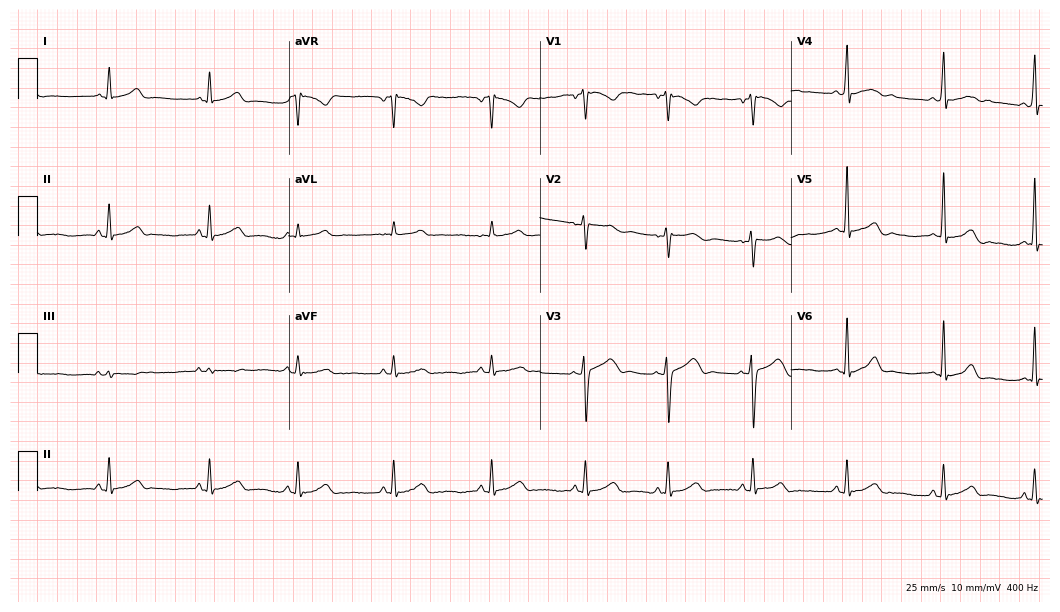
12-lead ECG from a female patient, 17 years old (10.2-second recording at 400 Hz). No first-degree AV block, right bundle branch block (RBBB), left bundle branch block (LBBB), sinus bradycardia, atrial fibrillation (AF) or sinus tachycardia recorded for this tracing.